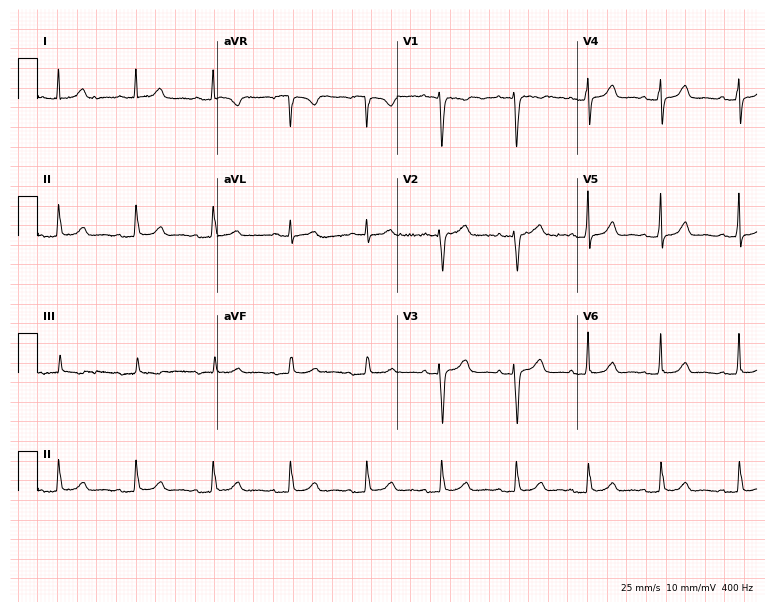
ECG (7.3-second recording at 400 Hz) — a female patient, 53 years old. Labelled as a normal ECG.